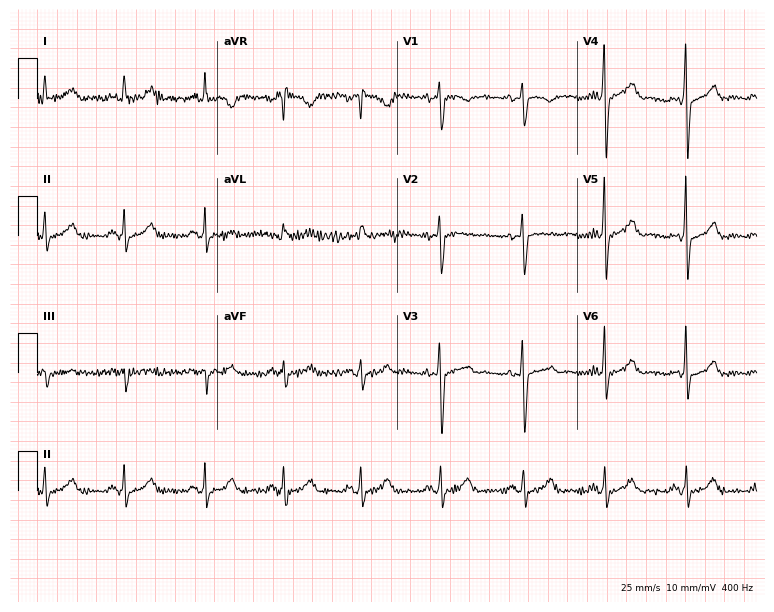
Electrocardiogram (7.3-second recording at 400 Hz), a 74-year-old female patient. Of the six screened findings (first-degree AV block, right bundle branch block, left bundle branch block, sinus bradycardia, atrial fibrillation, sinus tachycardia), none is recorded.